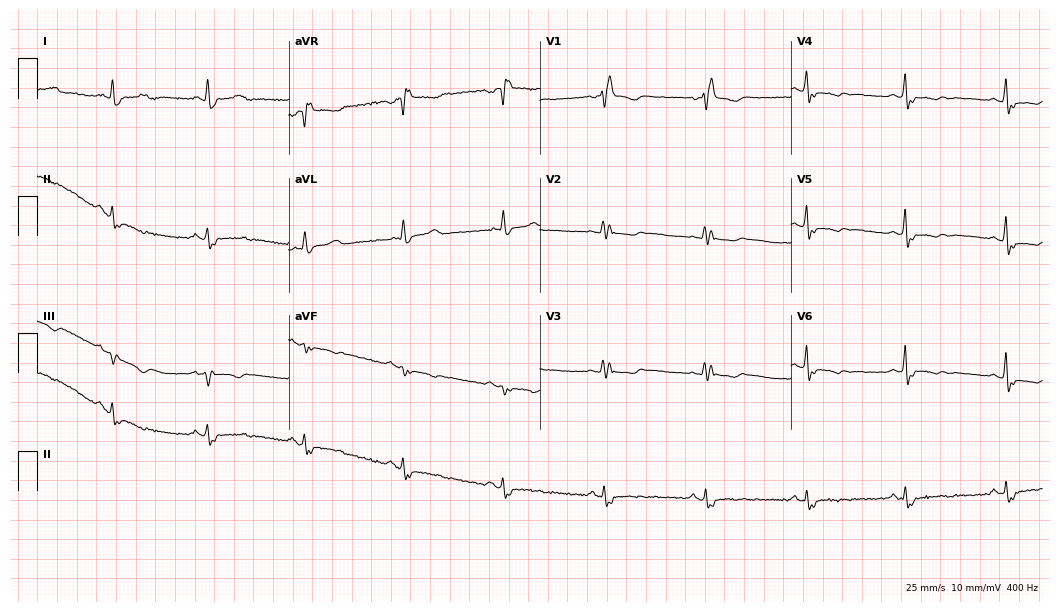
12-lead ECG (10.2-second recording at 400 Hz) from a woman, 50 years old. Findings include right bundle branch block.